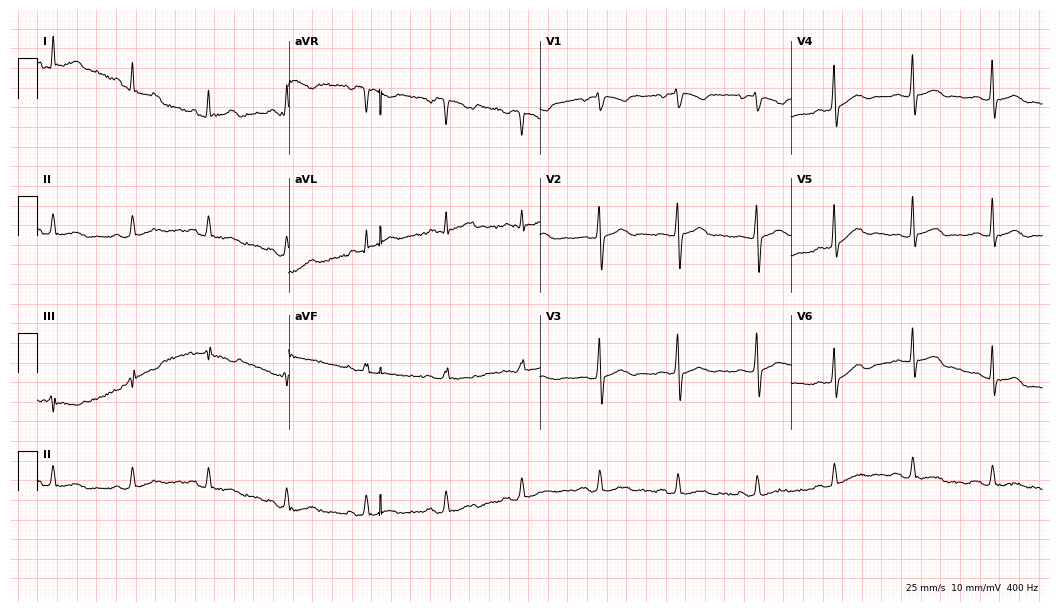
Electrocardiogram, a male patient, 30 years old. Of the six screened findings (first-degree AV block, right bundle branch block (RBBB), left bundle branch block (LBBB), sinus bradycardia, atrial fibrillation (AF), sinus tachycardia), none is recorded.